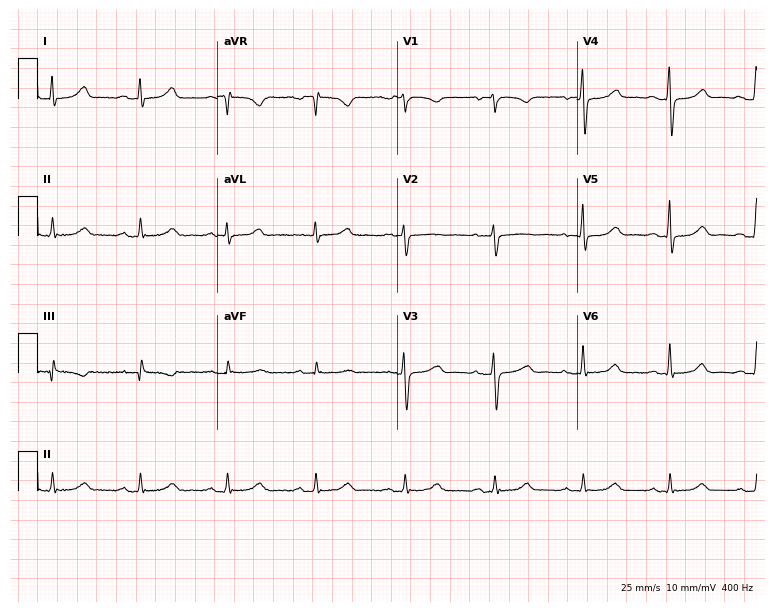
12-lead ECG from a 52-year-old female patient. No first-degree AV block, right bundle branch block, left bundle branch block, sinus bradycardia, atrial fibrillation or sinus tachycardia recorded for this tracing.